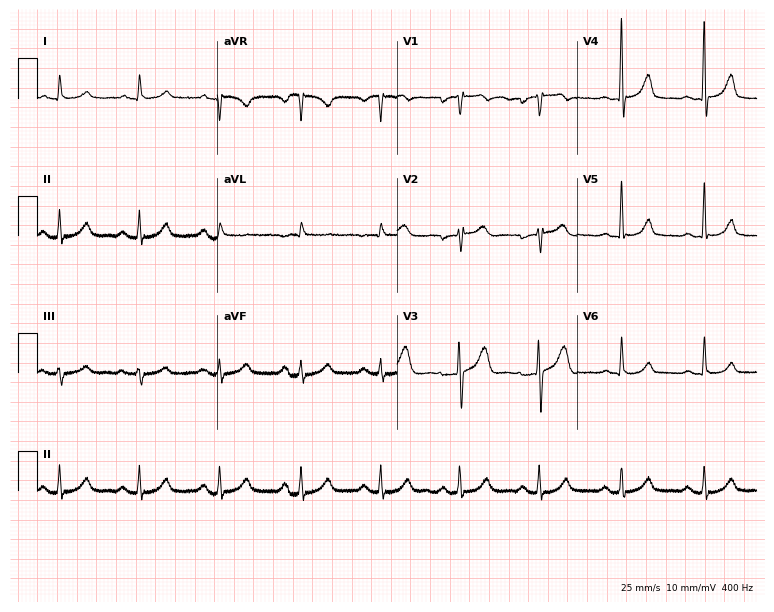
12-lead ECG from a male patient, 66 years old. Screened for six findings — first-degree AV block, right bundle branch block, left bundle branch block, sinus bradycardia, atrial fibrillation, sinus tachycardia — none is recorded. Other findings, if any, are not listed.